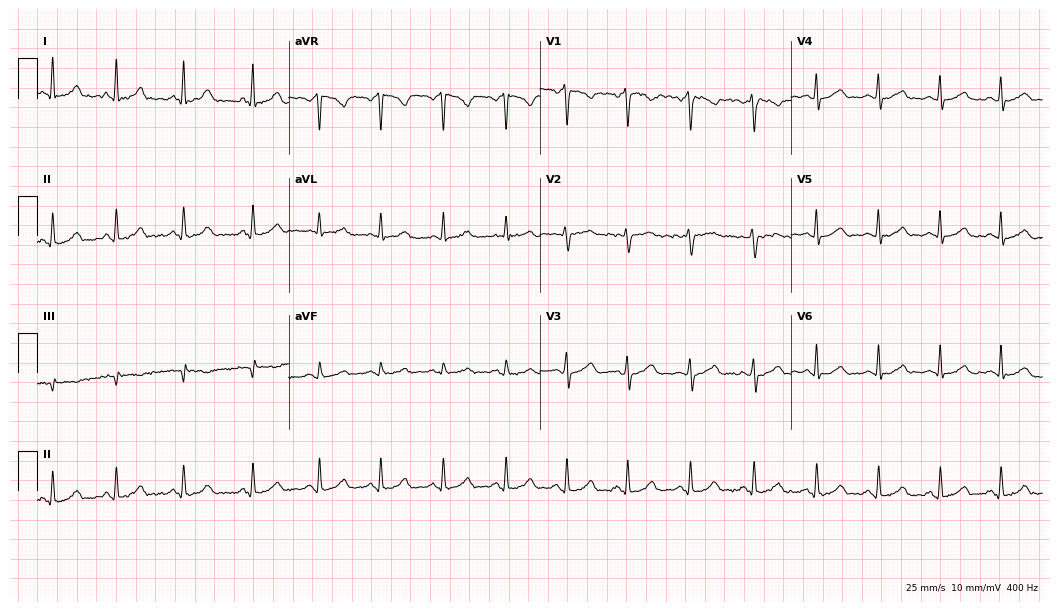
Resting 12-lead electrocardiogram. Patient: a woman, 38 years old. Read as a normal ECG.